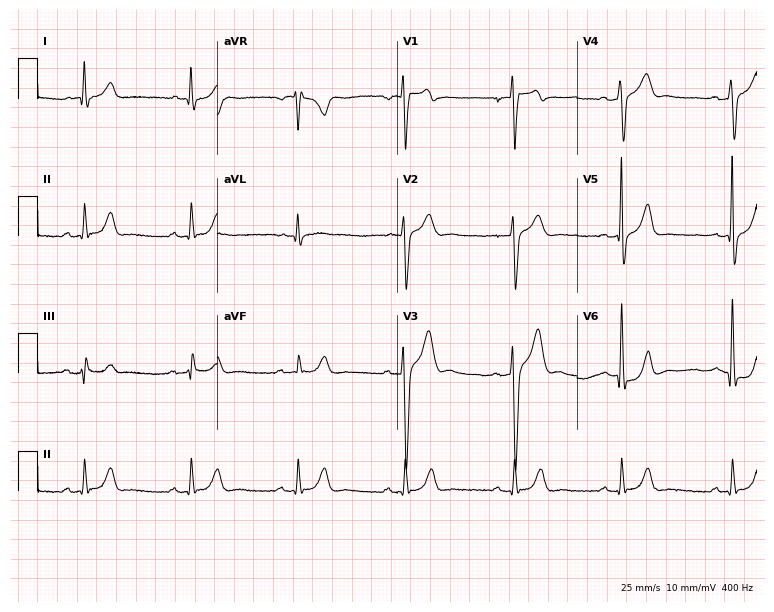
Standard 12-lead ECG recorded from a 31-year-old male (7.3-second recording at 400 Hz). Read as a normal ECG.